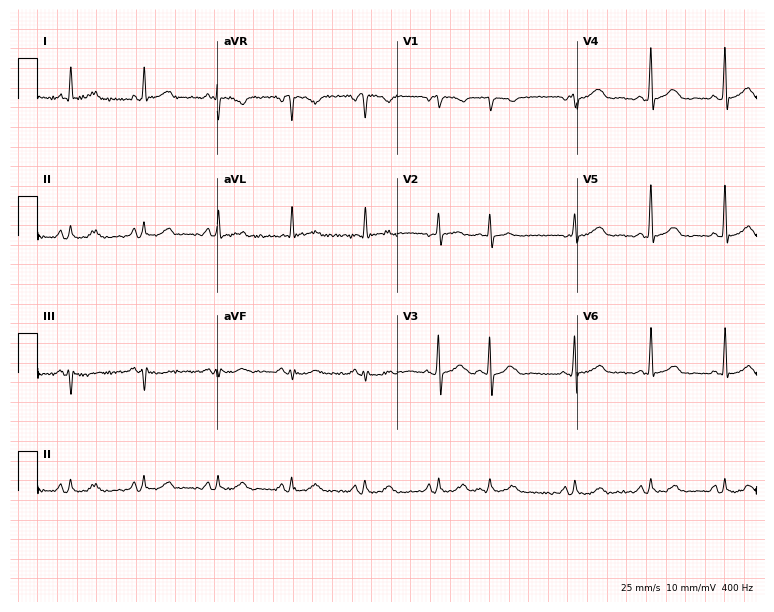
Electrocardiogram (7.3-second recording at 400 Hz), an 80-year-old male patient. Of the six screened findings (first-degree AV block, right bundle branch block, left bundle branch block, sinus bradycardia, atrial fibrillation, sinus tachycardia), none is recorded.